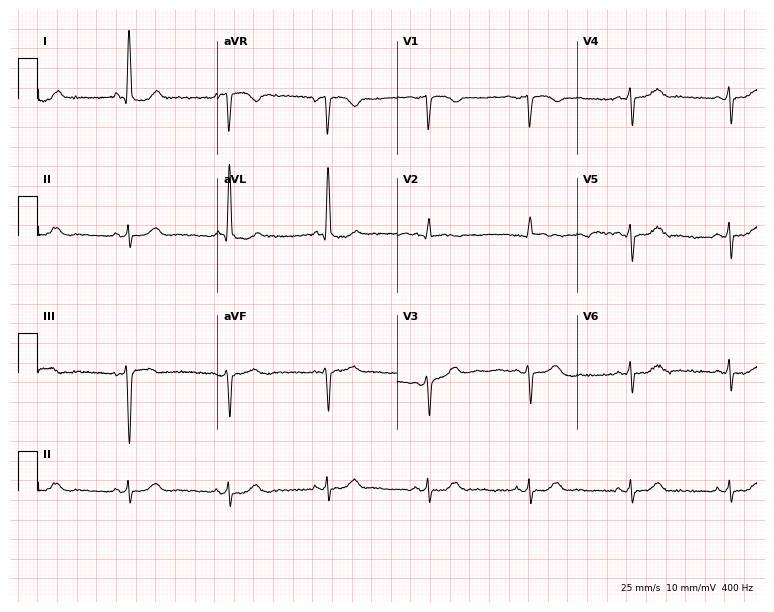
12-lead ECG from a 72-year-old female patient (7.3-second recording at 400 Hz). No first-degree AV block, right bundle branch block (RBBB), left bundle branch block (LBBB), sinus bradycardia, atrial fibrillation (AF) or sinus tachycardia recorded for this tracing.